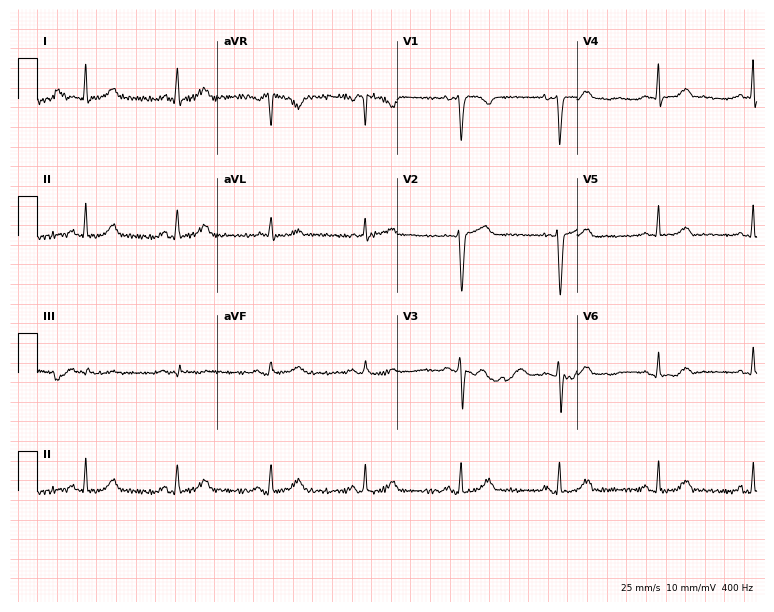
12-lead ECG from a female, 37 years old. Screened for six findings — first-degree AV block, right bundle branch block (RBBB), left bundle branch block (LBBB), sinus bradycardia, atrial fibrillation (AF), sinus tachycardia — none is recorded.